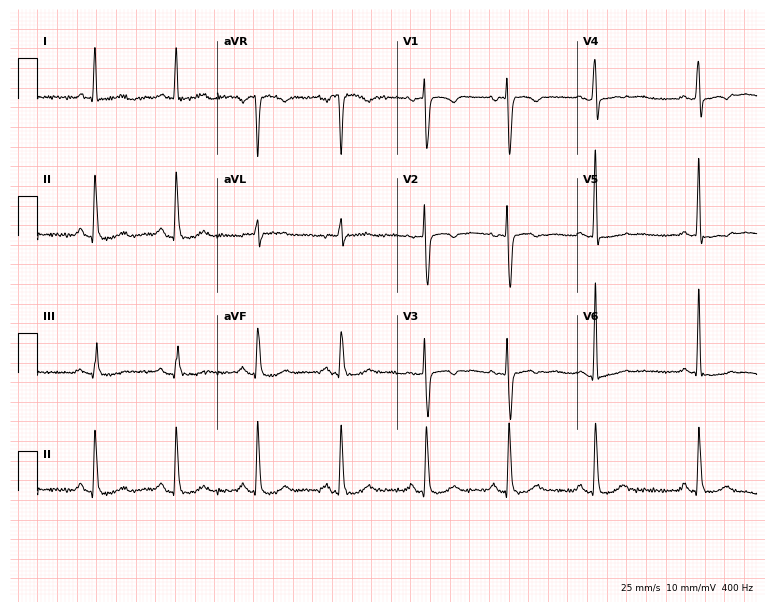
ECG (7.3-second recording at 400 Hz) — a female patient, 72 years old. Screened for six findings — first-degree AV block, right bundle branch block, left bundle branch block, sinus bradycardia, atrial fibrillation, sinus tachycardia — none is recorded.